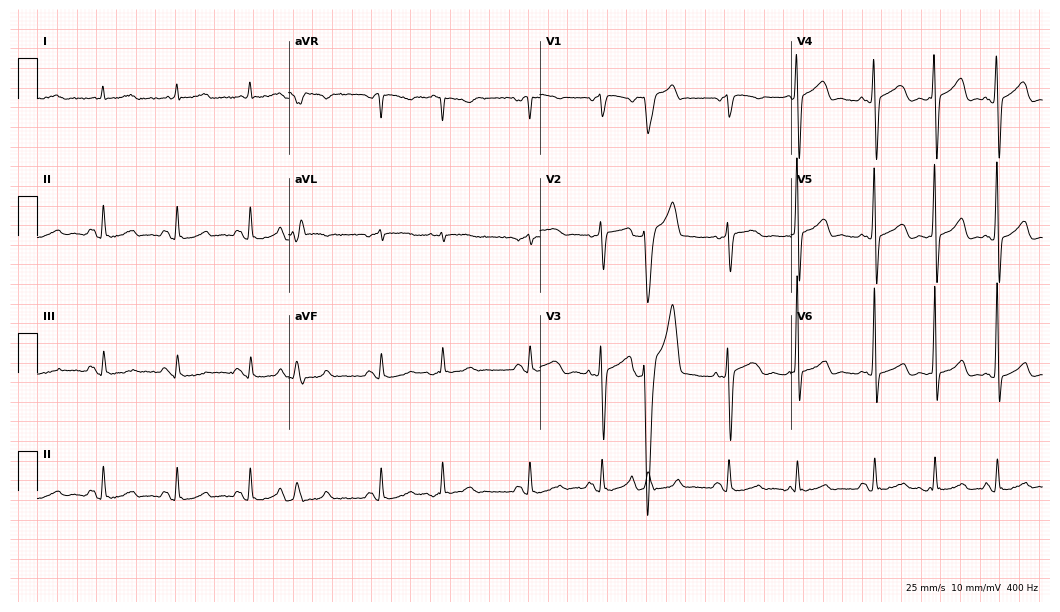
12-lead ECG (10.2-second recording at 400 Hz) from a man, 78 years old. Screened for six findings — first-degree AV block, right bundle branch block, left bundle branch block, sinus bradycardia, atrial fibrillation, sinus tachycardia — none is recorded. Findings outside these six are not listed.